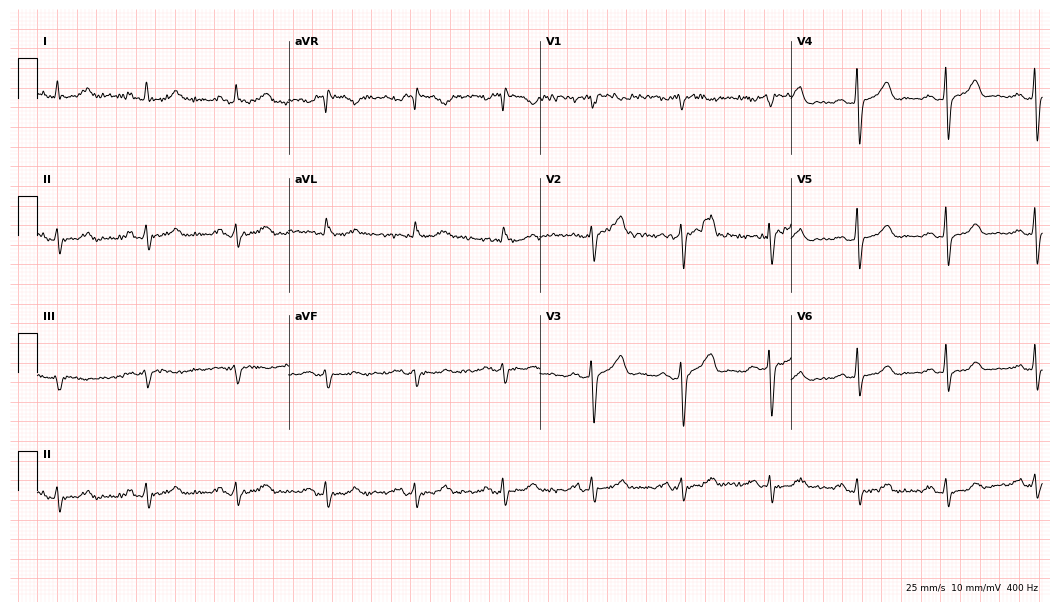
Standard 12-lead ECG recorded from a male patient, 81 years old. Read as a normal ECG.